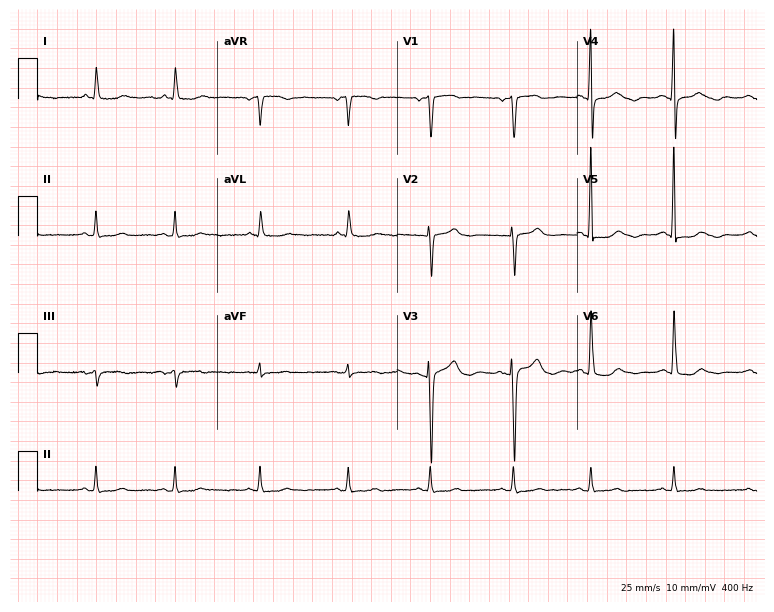
12-lead ECG from a woman, 85 years old (7.3-second recording at 400 Hz). Recorded interpretation: within normal limits.